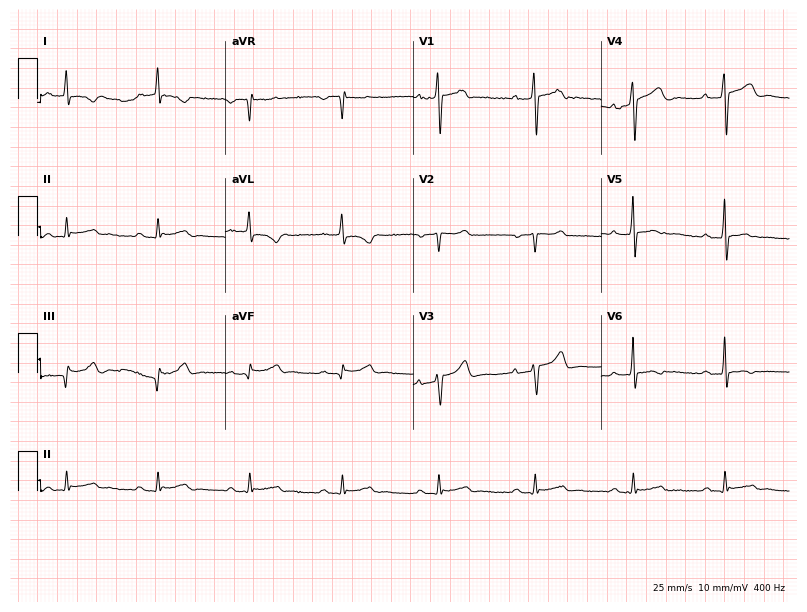
Standard 12-lead ECG recorded from a male patient, 52 years old. None of these six findings is recorded: first-degree AV block, right bundle branch block, left bundle branch block, sinus bradycardia, atrial fibrillation, sinus tachycardia. Findings outside these six are not listed.